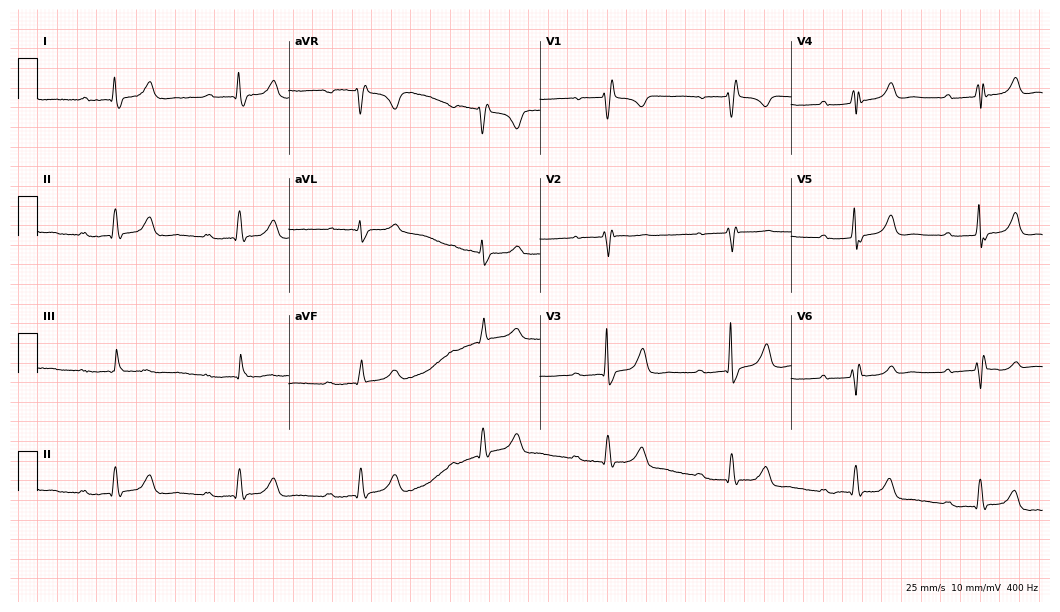
Standard 12-lead ECG recorded from a 60-year-old male. None of these six findings is recorded: first-degree AV block, right bundle branch block, left bundle branch block, sinus bradycardia, atrial fibrillation, sinus tachycardia.